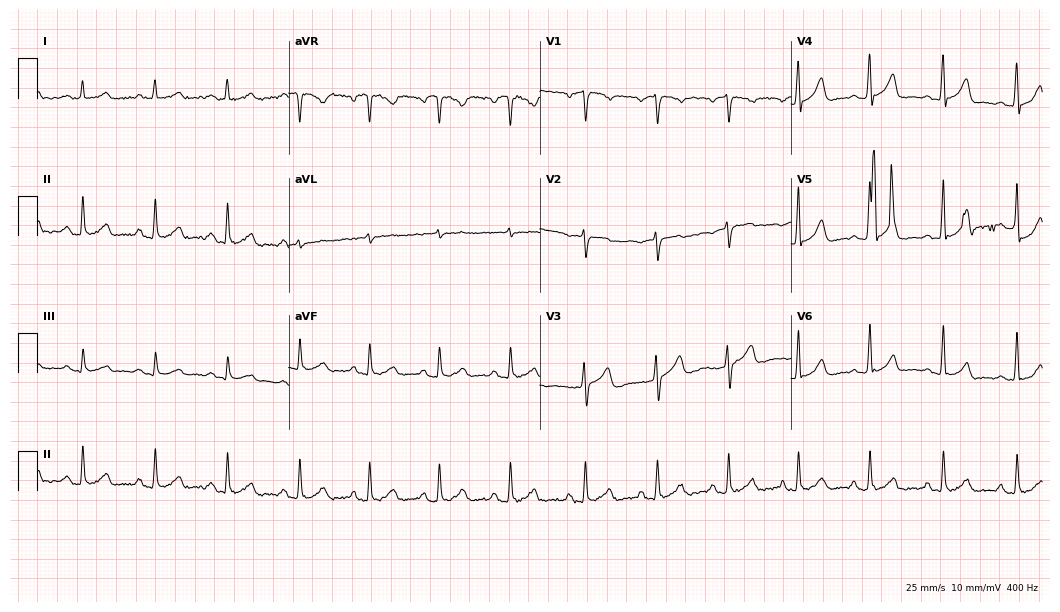
ECG (10.2-second recording at 400 Hz) — a man, 46 years old. Labelled as a normal ECG.